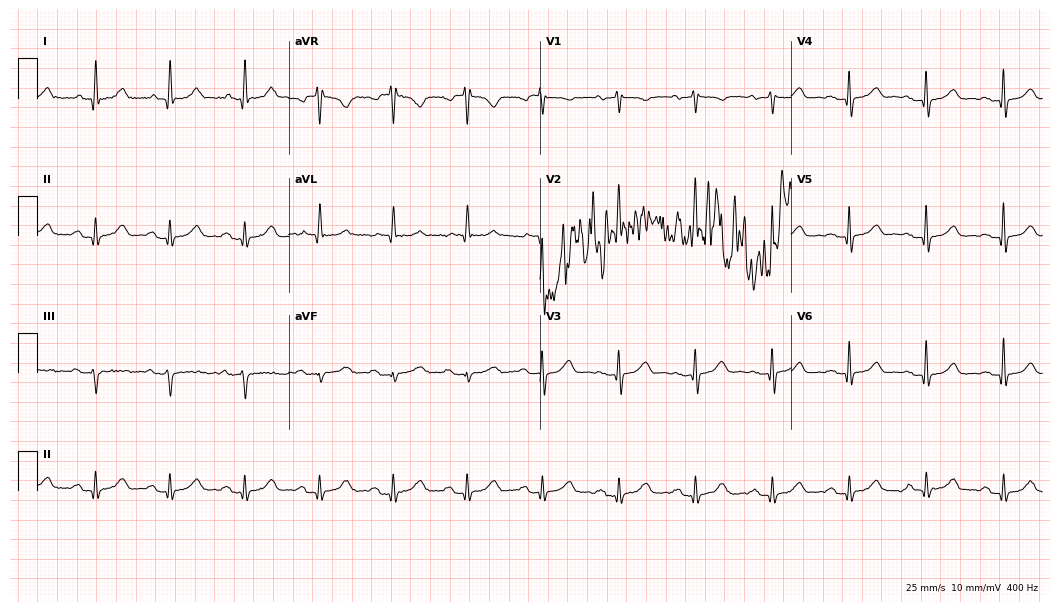
Resting 12-lead electrocardiogram. Patient: a female, 80 years old. None of these six findings is recorded: first-degree AV block, right bundle branch block, left bundle branch block, sinus bradycardia, atrial fibrillation, sinus tachycardia.